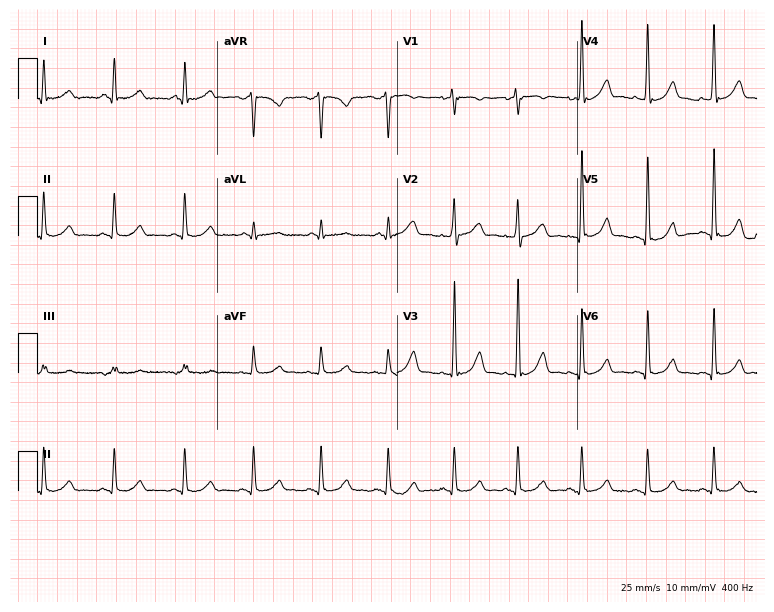
Standard 12-lead ECG recorded from a 52-year-old man. Read as a normal ECG.